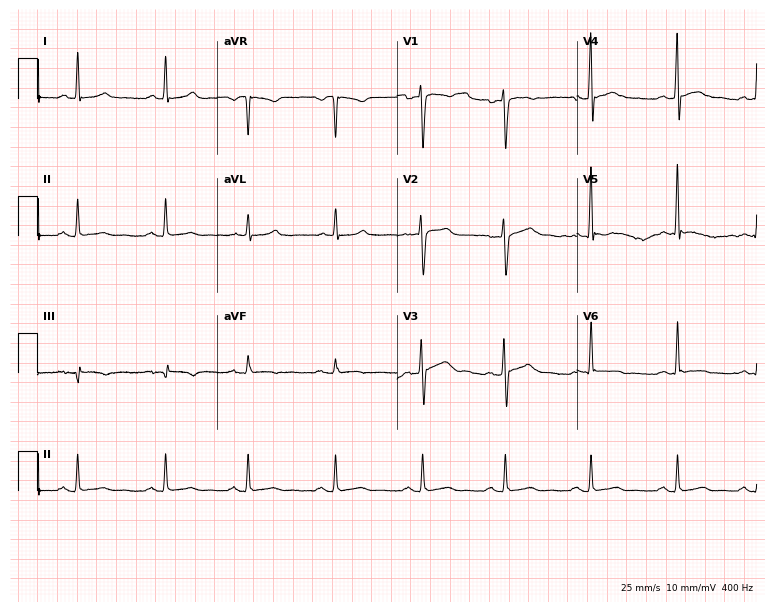
ECG — a female patient, 30 years old. Screened for six findings — first-degree AV block, right bundle branch block (RBBB), left bundle branch block (LBBB), sinus bradycardia, atrial fibrillation (AF), sinus tachycardia — none is recorded. Only these six findings were labelled.